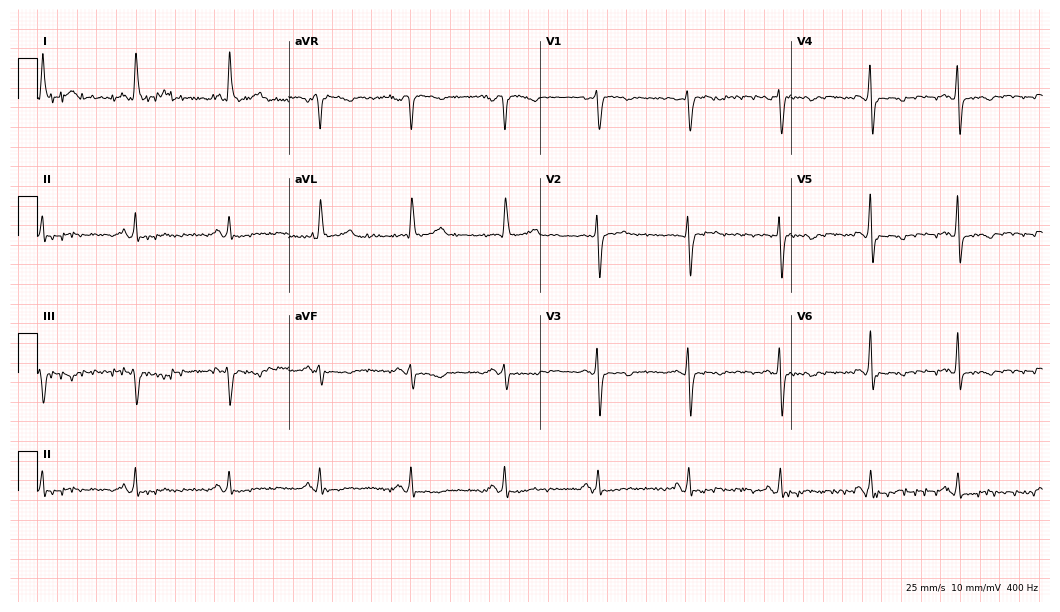
Resting 12-lead electrocardiogram. Patient: a 68-year-old female. None of these six findings is recorded: first-degree AV block, right bundle branch block (RBBB), left bundle branch block (LBBB), sinus bradycardia, atrial fibrillation (AF), sinus tachycardia.